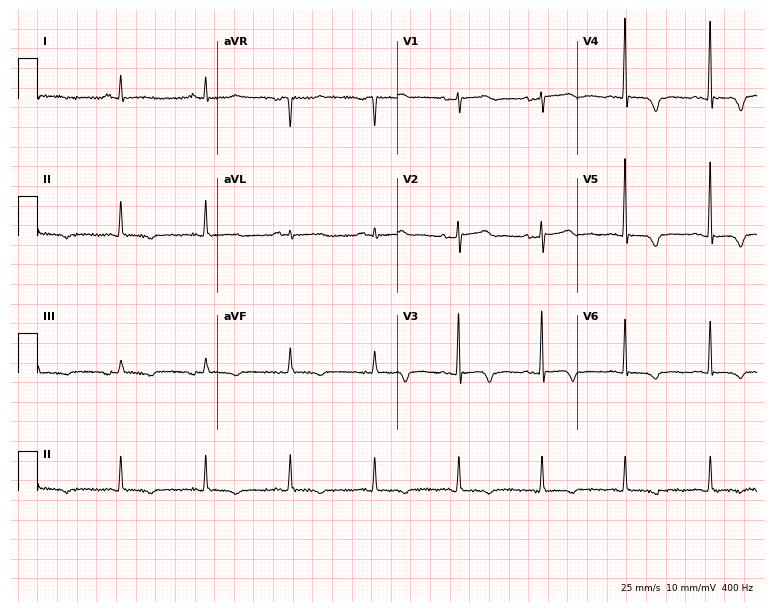
ECG (7.3-second recording at 400 Hz) — a 74-year-old female. Labelled as a normal ECG.